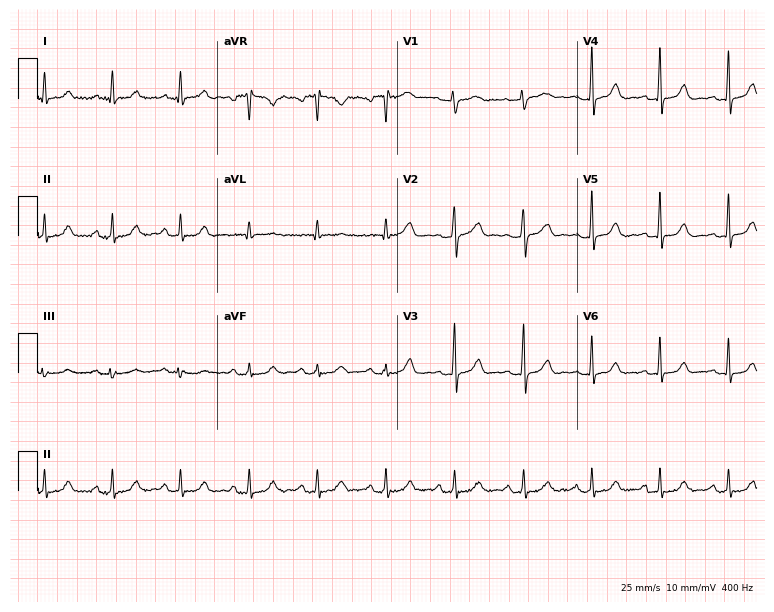
Electrocardiogram (7.3-second recording at 400 Hz), a 57-year-old female. Of the six screened findings (first-degree AV block, right bundle branch block, left bundle branch block, sinus bradycardia, atrial fibrillation, sinus tachycardia), none is recorded. Findings outside these six are not listed.